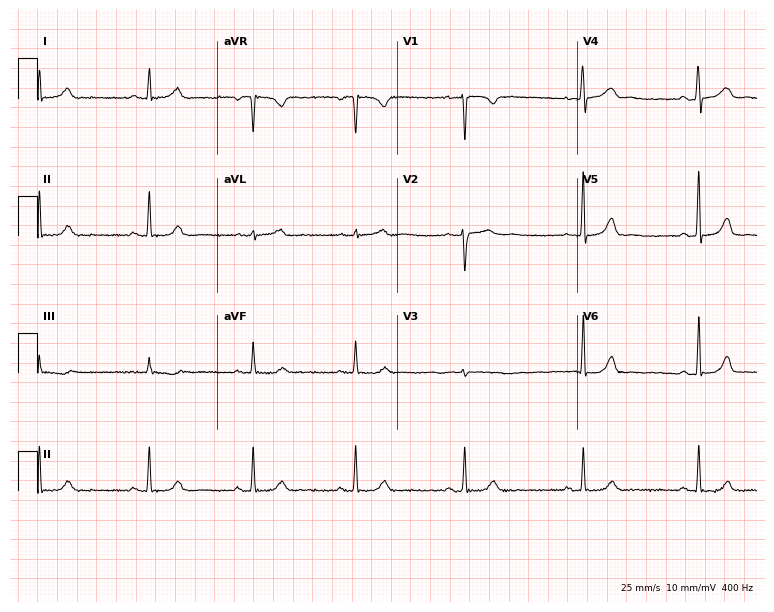
12-lead ECG from a female patient, 34 years old. Labelled as a normal ECG.